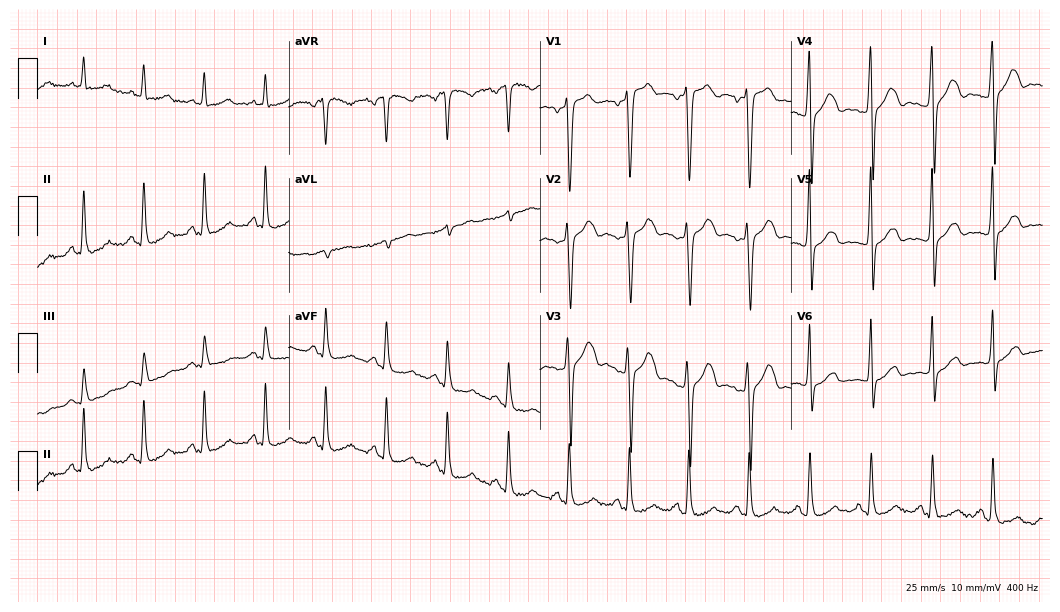
Resting 12-lead electrocardiogram. Patient: a 38-year-old male. None of these six findings is recorded: first-degree AV block, right bundle branch block, left bundle branch block, sinus bradycardia, atrial fibrillation, sinus tachycardia.